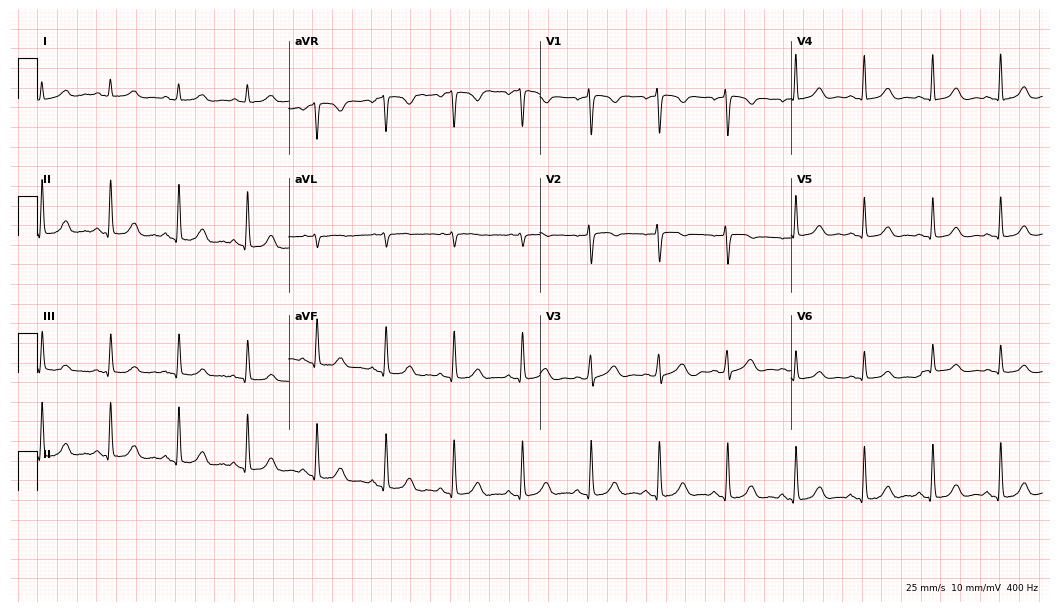
Electrocardiogram, a 50-year-old woman. Of the six screened findings (first-degree AV block, right bundle branch block (RBBB), left bundle branch block (LBBB), sinus bradycardia, atrial fibrillation (AF), sinus tachycardia), none is recorded. Findings outside these six are not listed.